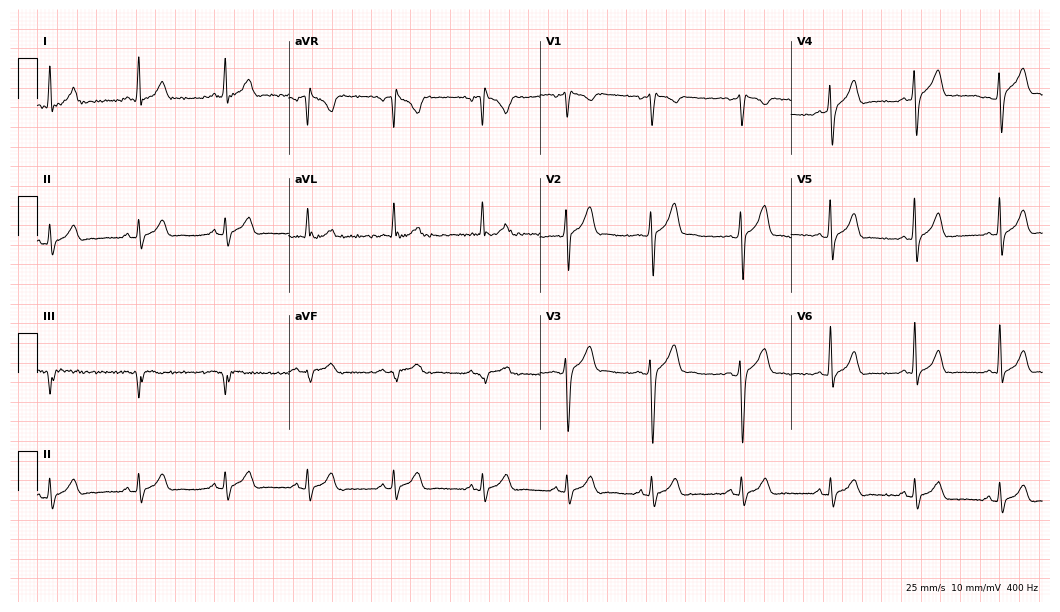
Standard 12-lead ECG recorded from a 29-year-old male. Read as a normal ECG.